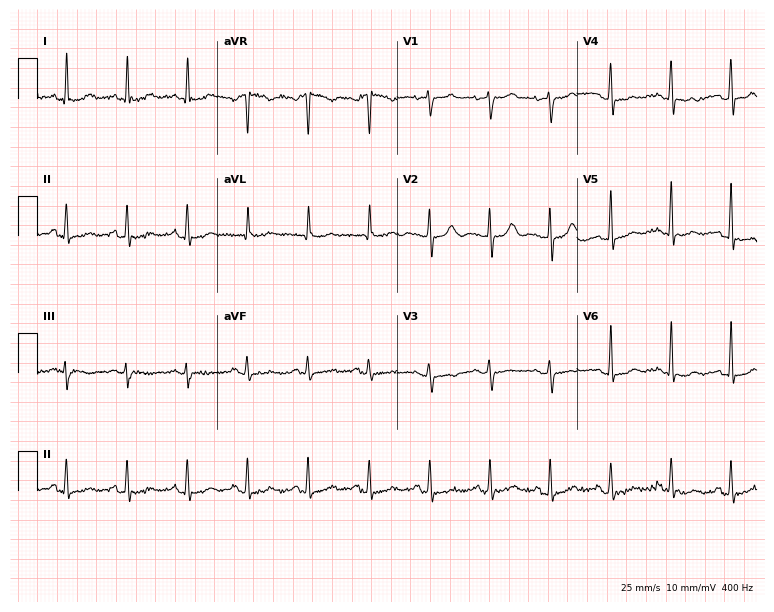
ECG — an 80-year-old female patient. Labelled as a normal ECG.